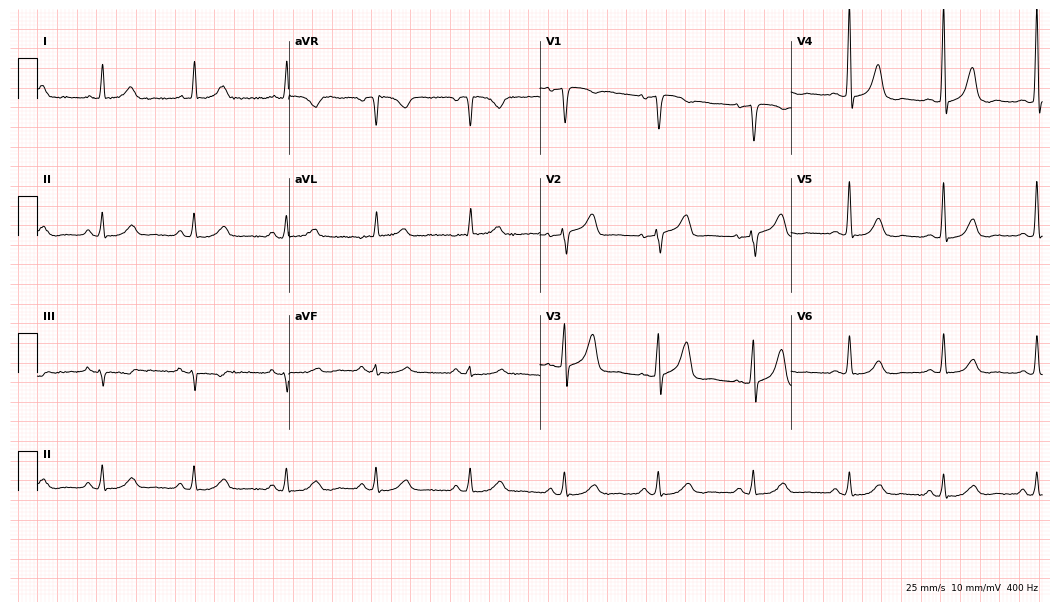
Electrocardiogram (10.2-second recording at 400 Hz), a 64-year-old female. Of the six screened findings (first-degree AV block, right bundle branch block (RBBB), left bundle branch block (LBBB), sinus bradycardia, atrial fibrillation (AF), sinus tachycardia), none is recorded. Other findings, if any, are not listed.